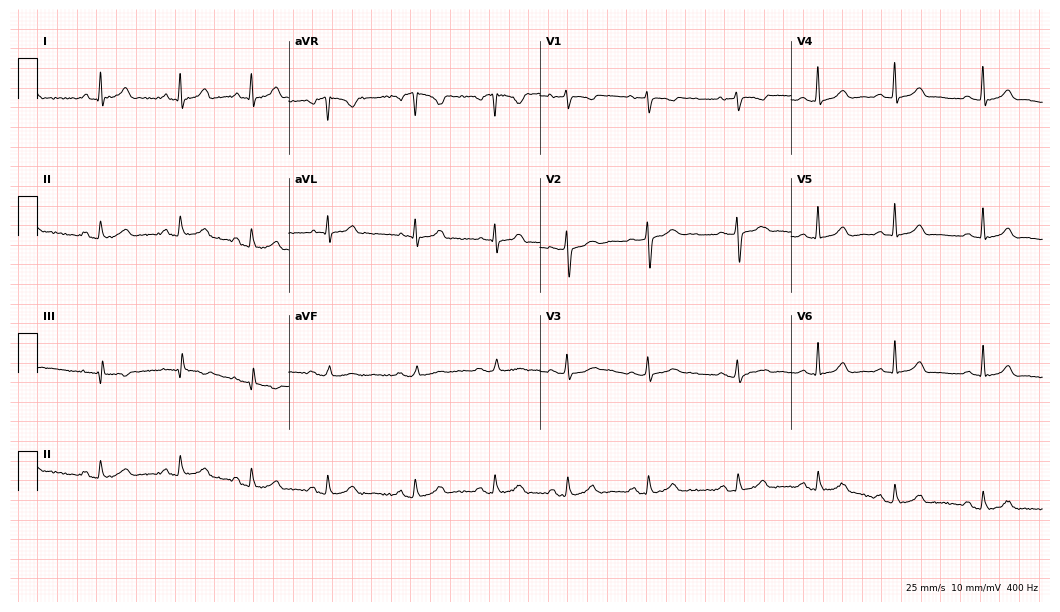
Electrocardiogram, a female patient, 34 years old. Overall reading on record: normal ECG.